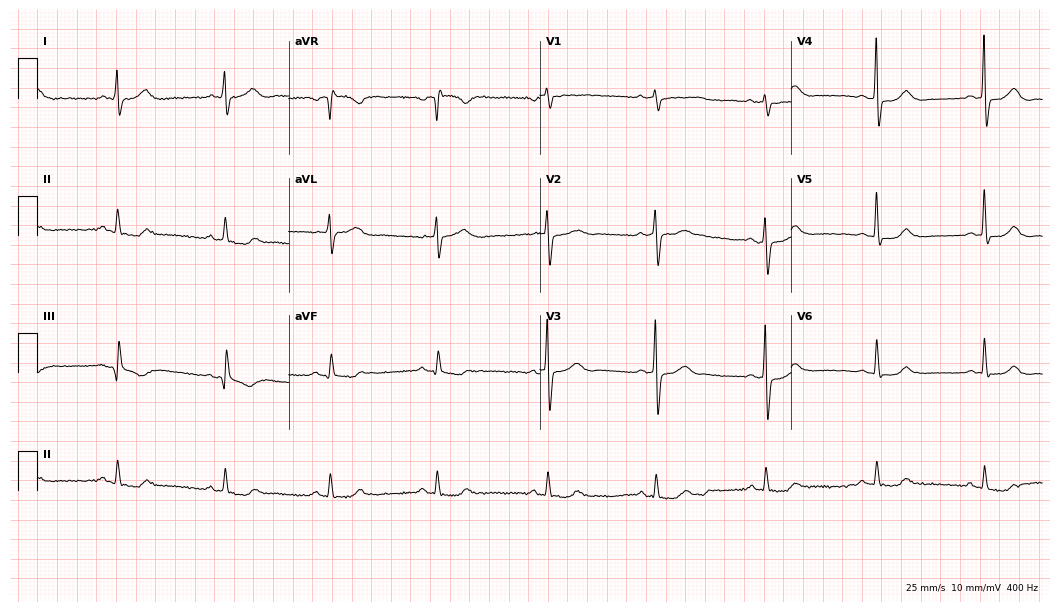
12-lead ECG from a 63-year-old female (10.2-second recording at 400 Hz). No first-degree AV block, right bundle branch block (RBBB), left bundle branch block (LBBB), sinus bradycardia, atrial fibrillation (AF) or sinus tachycardia recorded for this tracing. Only these six findings were labelled.